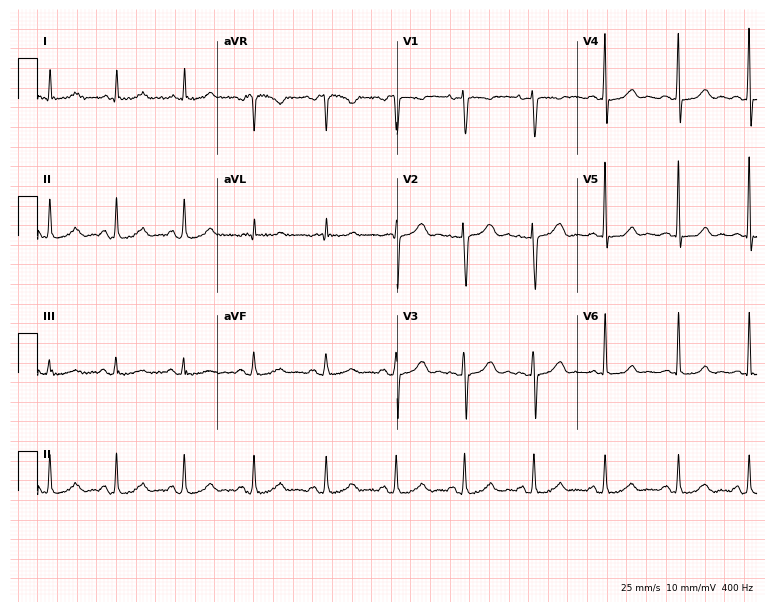
Standard 12-lead ECG recorded from a 34-year-old female. Read as a normal ECG.